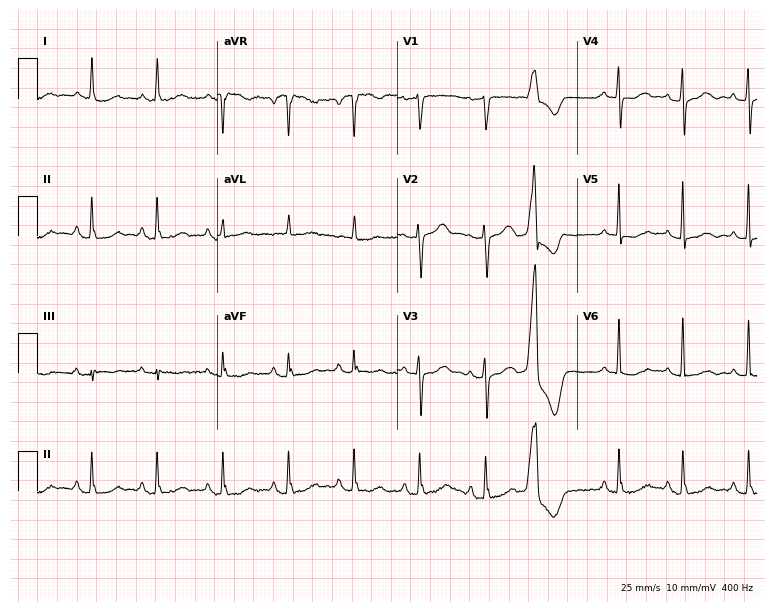
Electrocardiogram, a 76-year-old female patient. Overall reading on record: normal ECG.